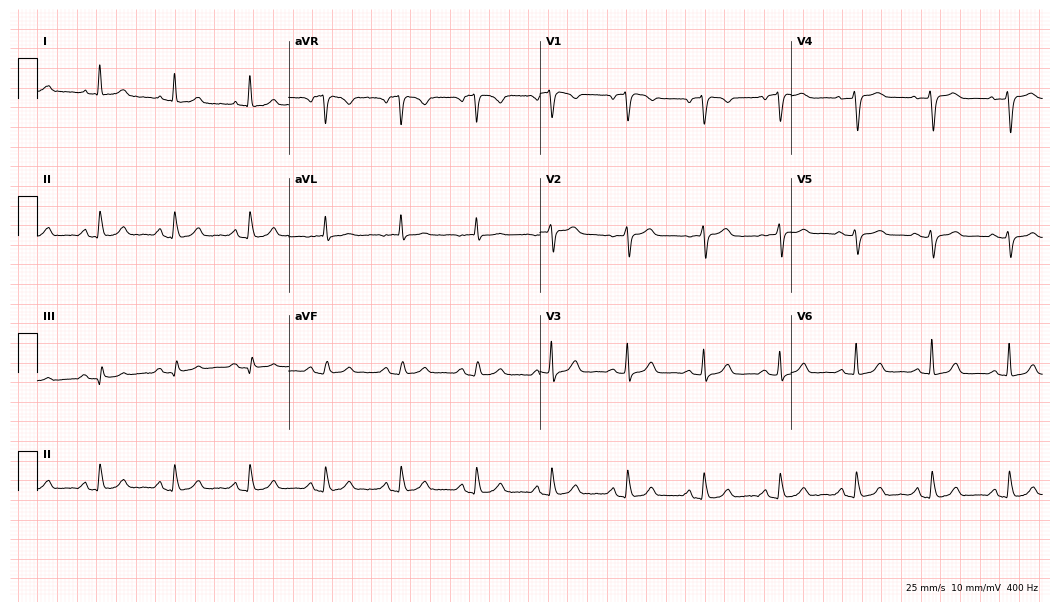
Standard 12-lead ECG recorded from a woman, 78 years old. None of these six findings is recorded: first-degree AV block, right bundle branch block (RBBB), left bundle branch block (LBBB), sinus bradycardia, atrial fibrillation (AF), sinus tachycardia.